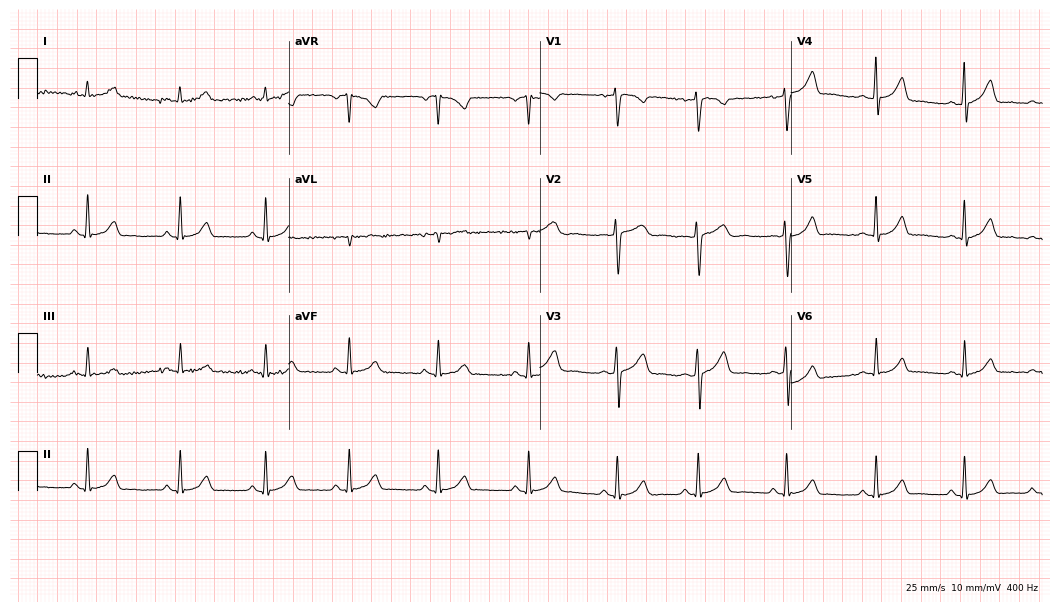
Standard 12-lead ECG recorded from a female patient, 24 years old (10.2-second recording at 400 Hz). Read as a normal ECG.